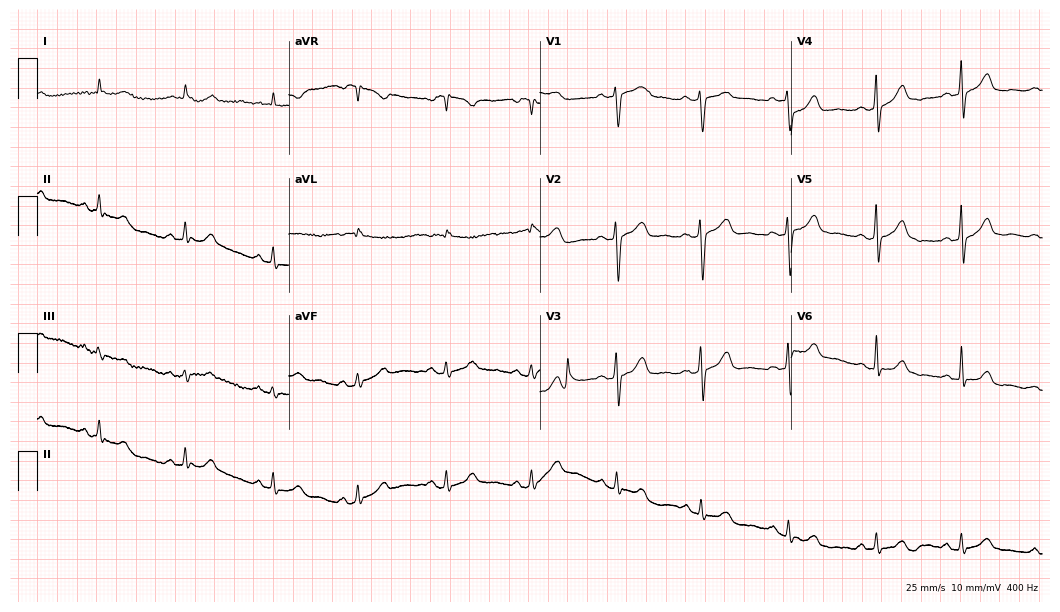
Standard 12-lead ECG recorded from a 67-year-old woman (10.2-second recording at 400 Hz). None of these six findings is recorded: first-degree AV block, right bundle branch block, left bundle branch block, sinus bradycardia, atrial fibrillation, sinus tachycardia.